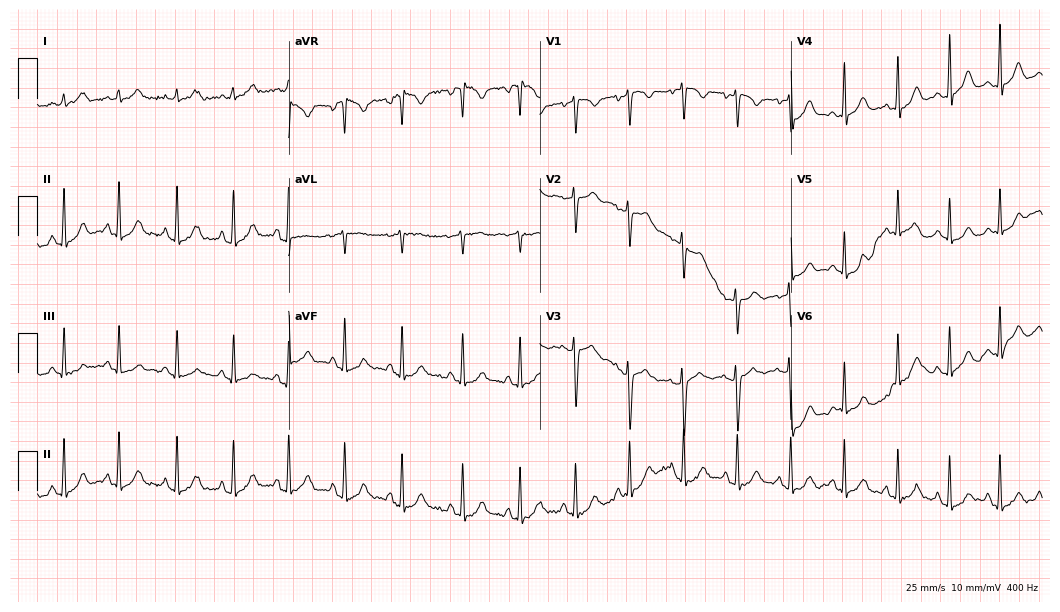
Standard 12-lead ECG recorded from a female, 21 years old. The tracing shows sinus tachycardia (a sinus rate of 100 beats per minute or more).